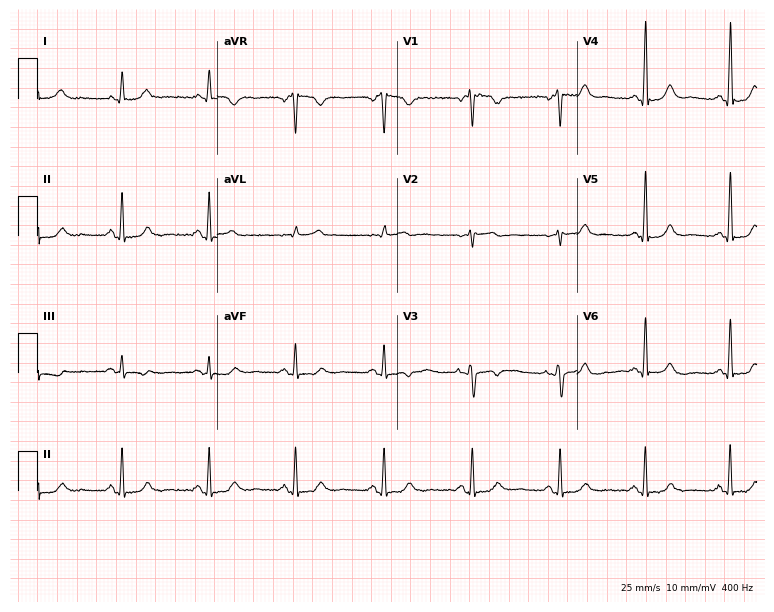
12-lead ECG from a 47-year-old woman. Recorded interpretation: within normal limits.